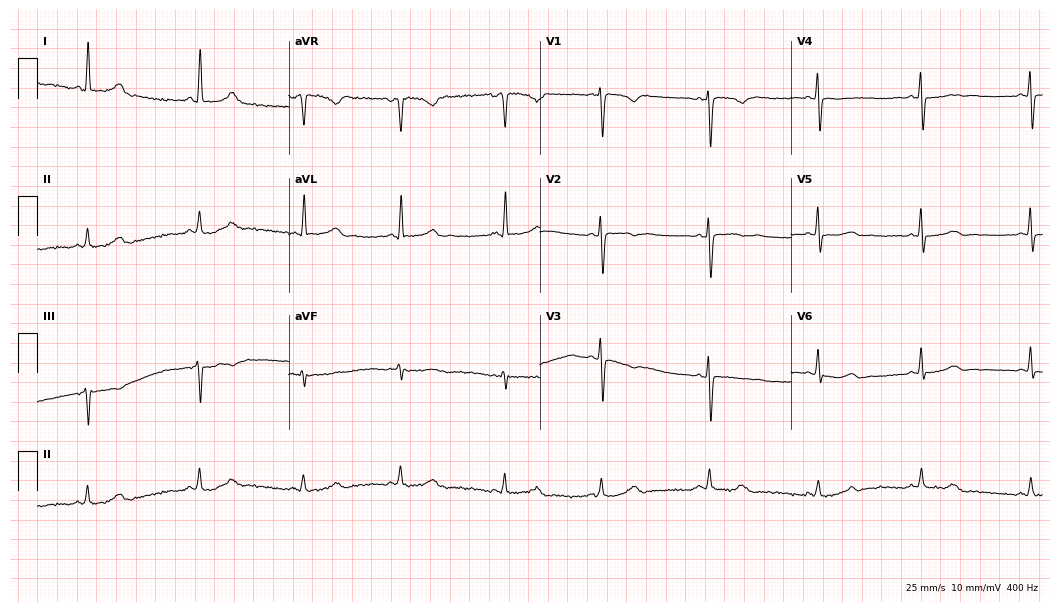
Electrocardiogram (10.2-second recording at 400 Hz), a 42-year-old female patient. Overall reading on record: normal ECG.